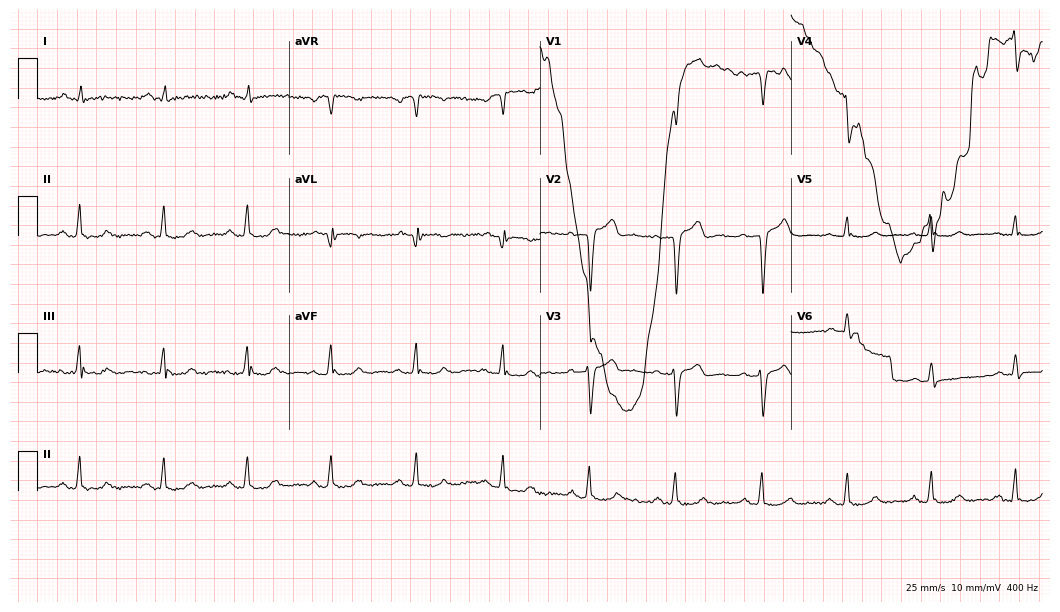
12-lead ECG from a male patient, 55 years old. Screened for six findings — first-degree AV block, right bundle branch block, left bundle branch block, sinus bradycardia, atrial fibrillation, sinus tachycardia — none is recorded. Findings outside these six are not listed.